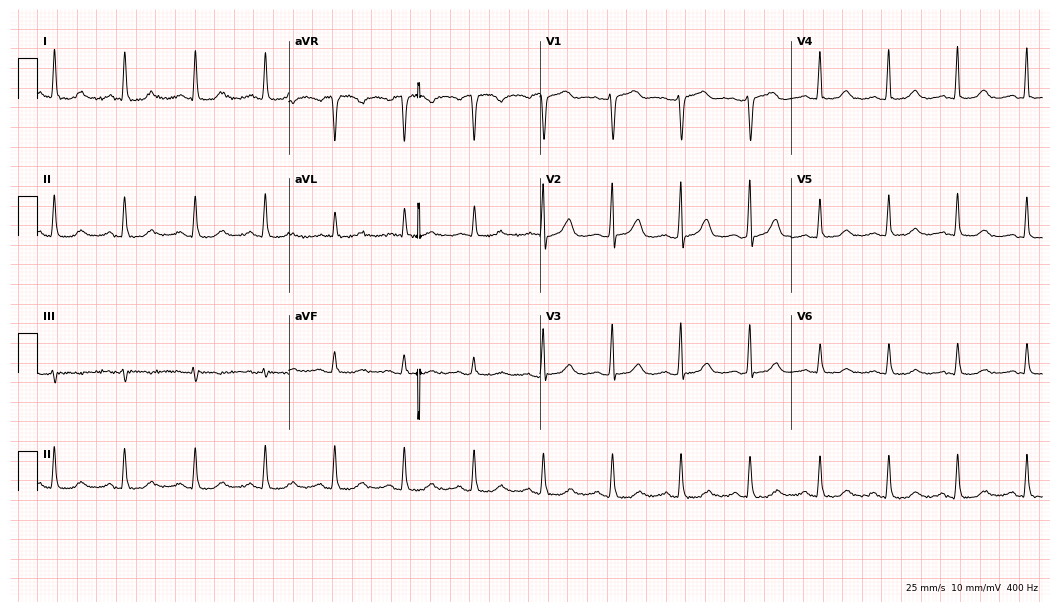
Electrocardiogram (10.2-second recording at 400 Hz), a female patient, 62 years old. Overall reading on record: normal ECG.